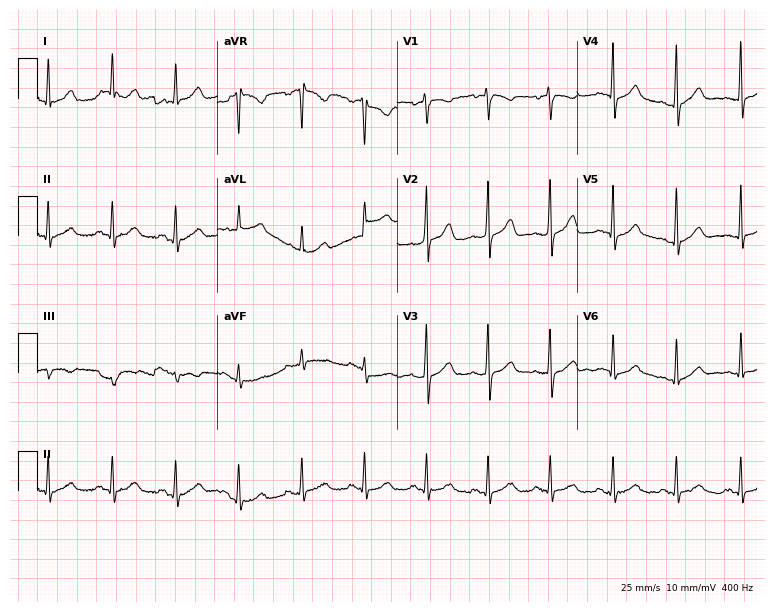
12-lead ECG from a 42-year-old woman. Recorded interpretation: within normal limits.